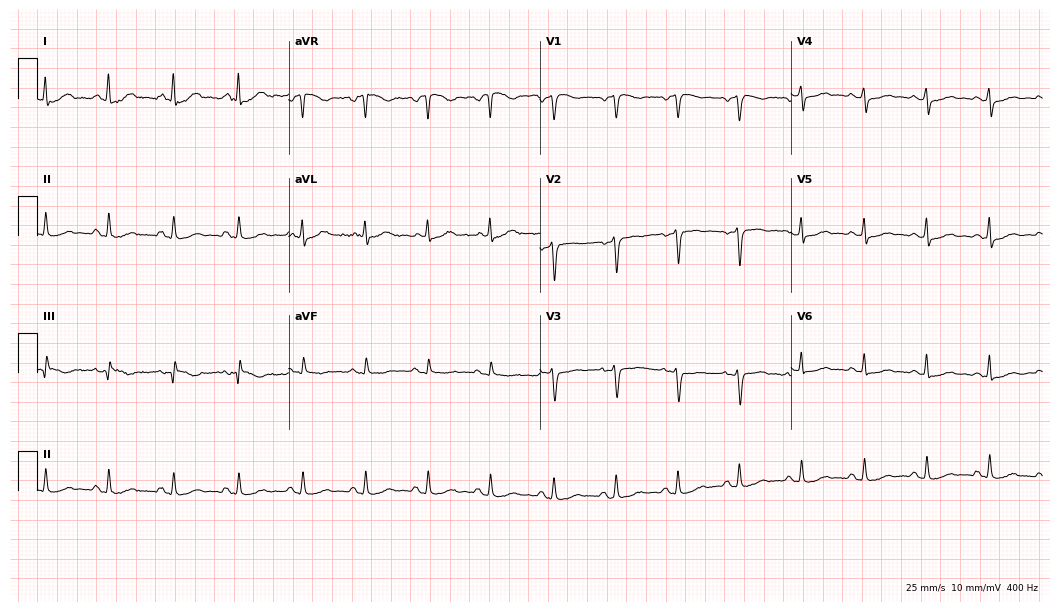
Electrocardiogram (10.2-second recording at 400 Hz), a female patient, 47 years old. Of the six screened findings (first-degree AV block, right bundle branch block, left bundle branch block, sinus bradycardia, atrial fibrillation, sinus tachycardia), none is recorded. Only these six findings were labelled.